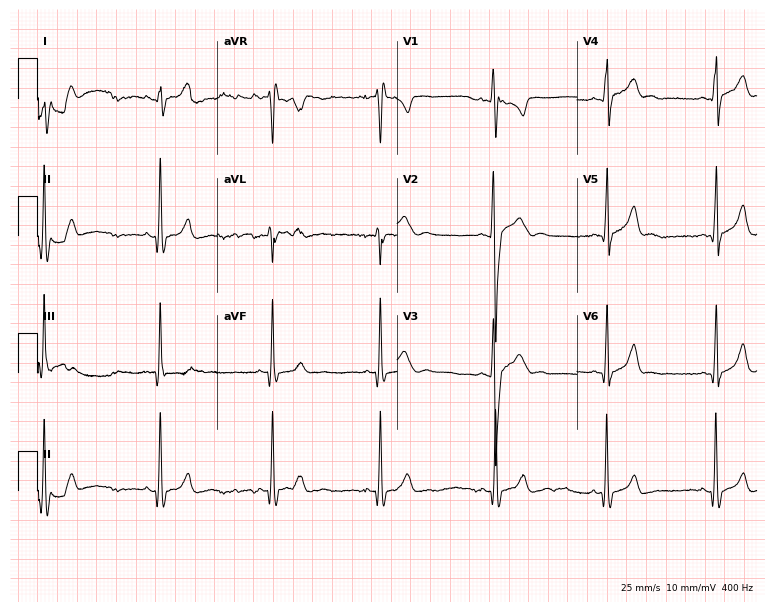
Resting 12-lead electrocardiogram. Patient: an 18-year-old man. The tracing shows right bundle branch block.